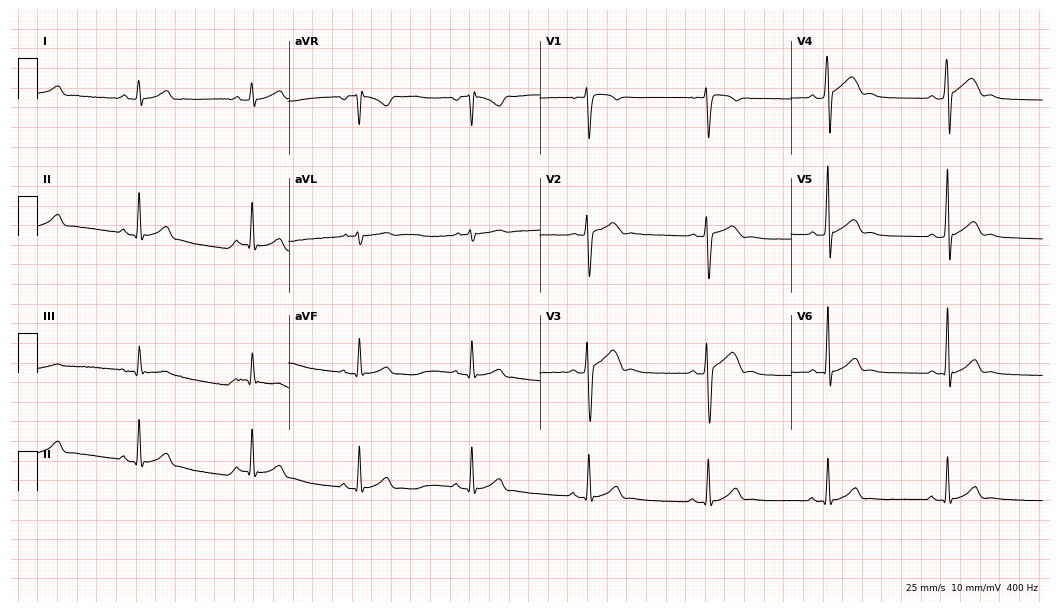
Resting 12-lead electrocardiogram (10.2-second recording at 400 Hz). Patient: a male, 19 years old. None of these six findings is recorded: first-degree AV block, right bundle branch block, left bundle branch block, sinus bradycardia, atrial fibrillation, sinus tachycardia.